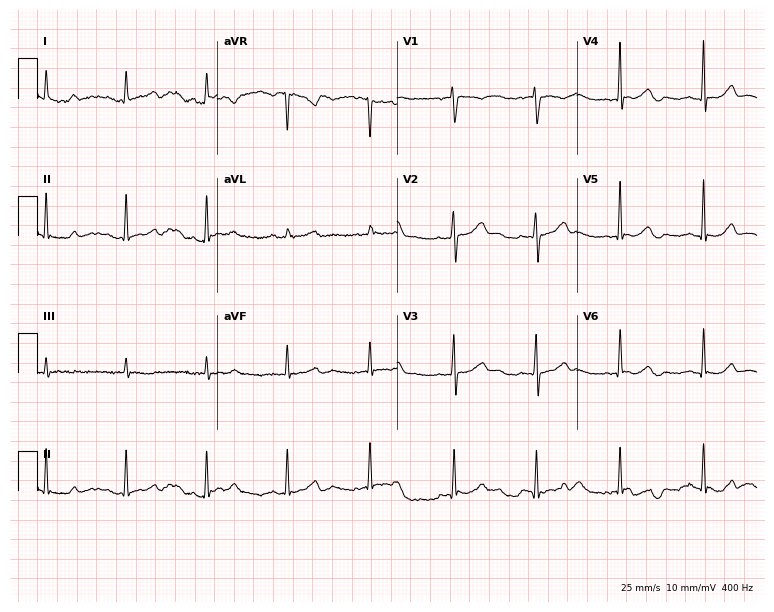
Standard 12-lead ECG recorded from a female patient, 61 years old (7.3-second recording at 400 Hz). Read as a normal ECG.